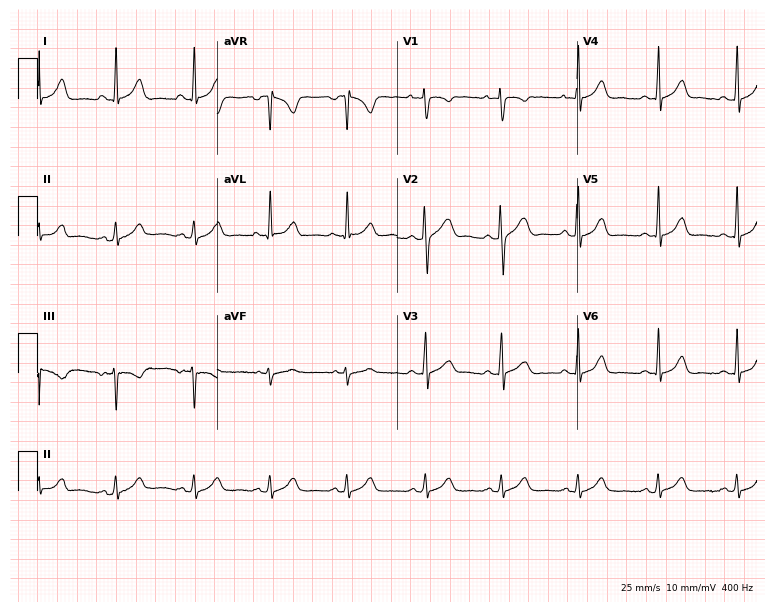
12-lead ECG from a female, 17 years old (7.3-second recording at 400 Hz). Recorded interpretation: within normal limits.